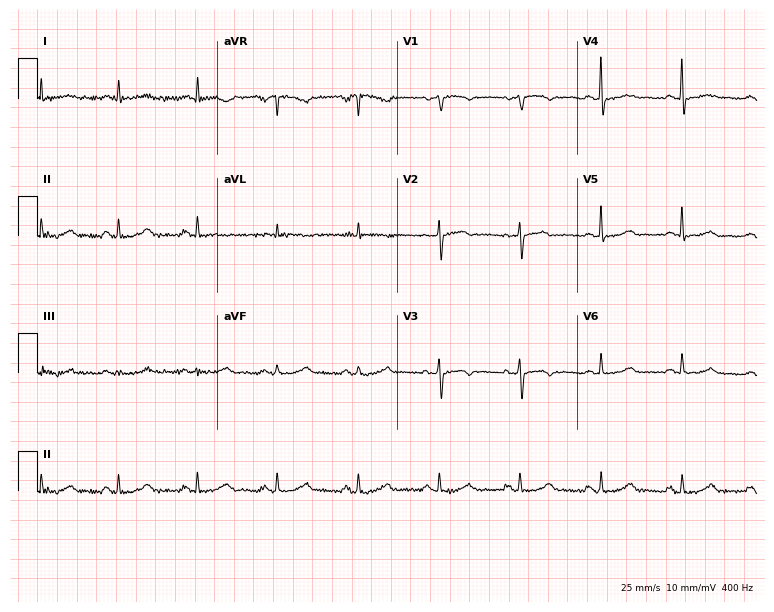
12-lead ECG from a 49-year-old female. Recorded interpretation: within normal limits.